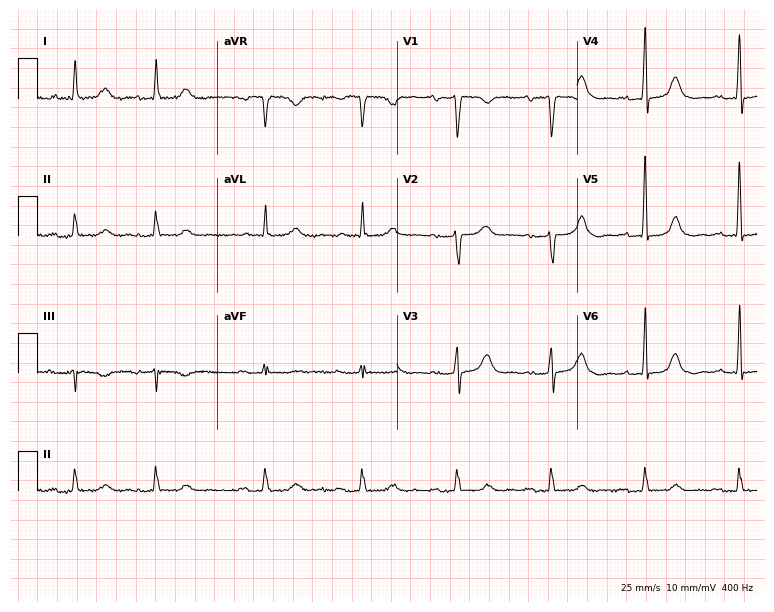
Electrocardiogram, a male, 83 years old. Interpretation includes first-degree AV block.